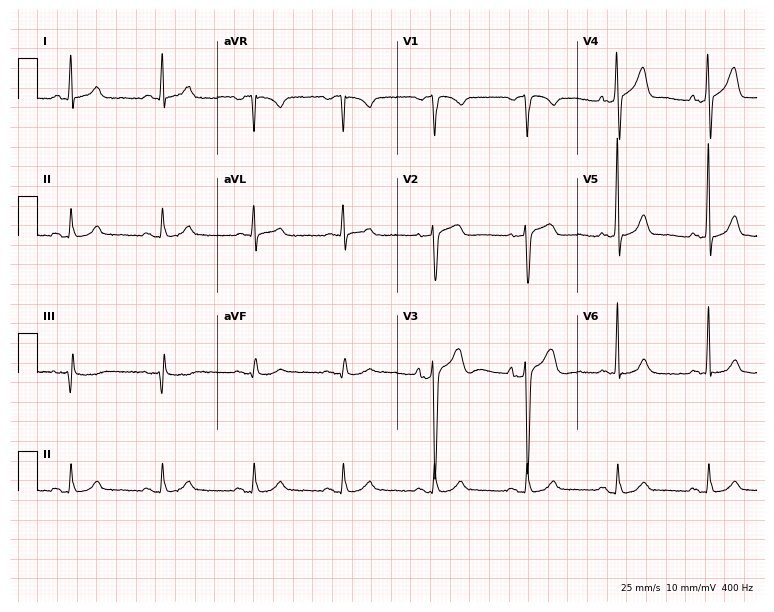
ECG (7.3-second recording at 400 Hz) — a 72-year-old man. Labelled as a normal ECG.